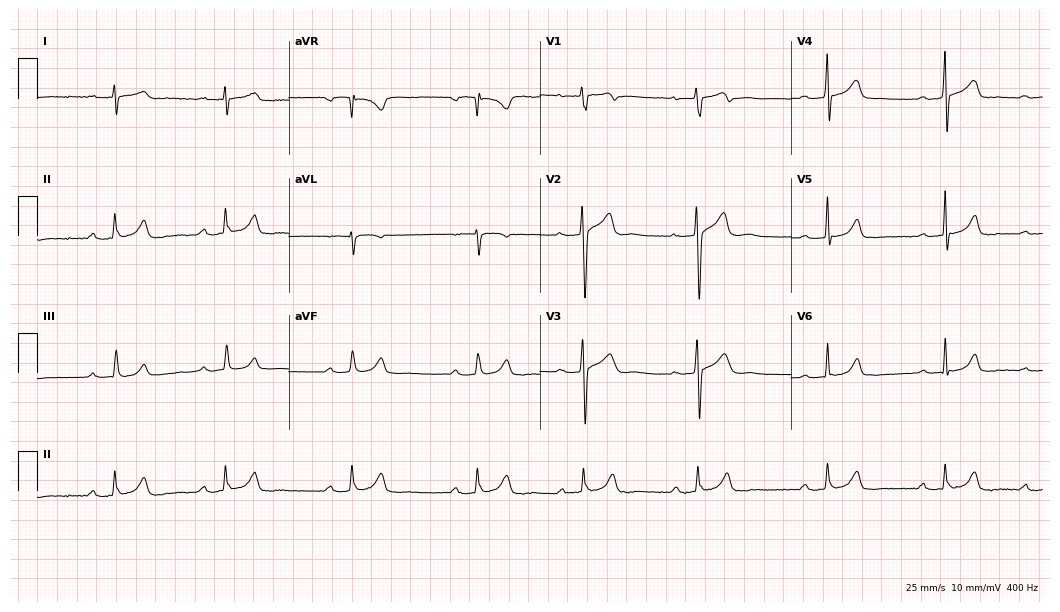
Electrocardiogram (10.2-second recording at 400 Hz), a 31-year-old male. Interpretation includes first-degree AV block, right bundle branch block (RBBB).